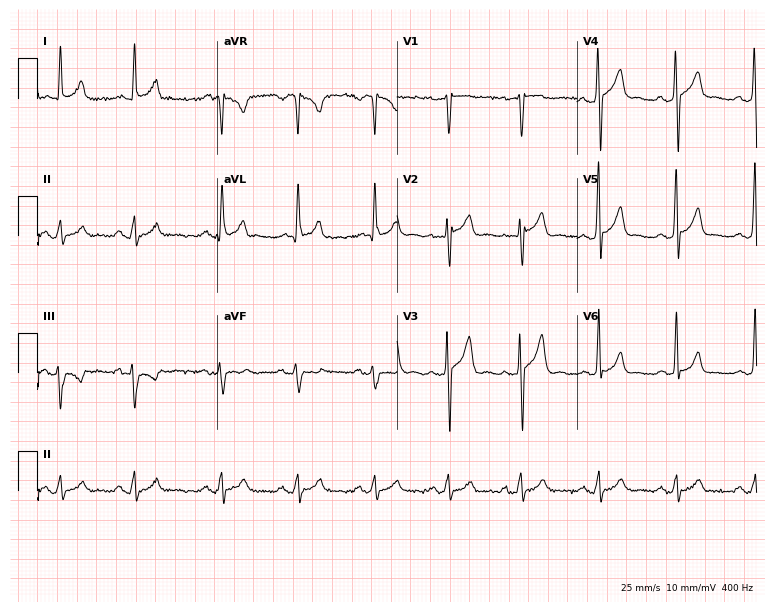
ECG — a male patient, 31 years old. Screened for six findings — first-degree AV block, right bundle branch block, left bundle branch block, sinus bradycardia, atrial fibrillation, sinus tachycardia — none is recorded. Other findings, if any, are not listed.